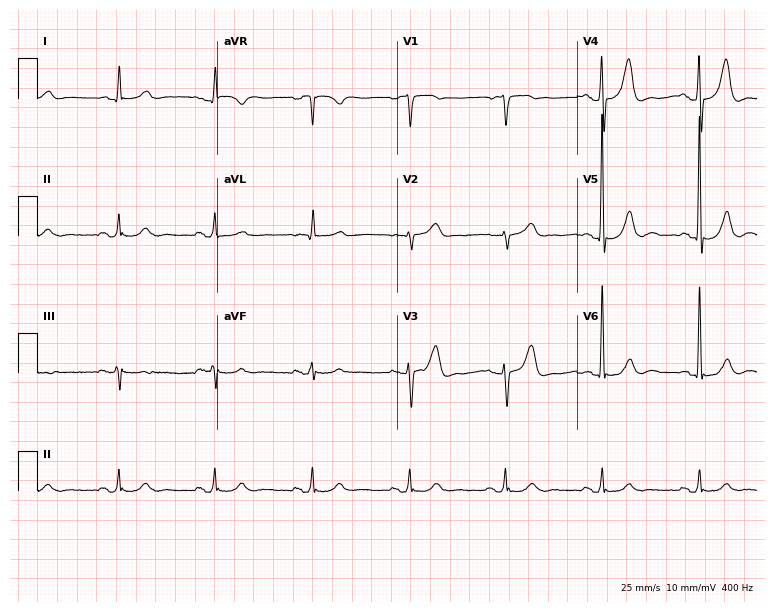
Standard 12-lead ECG recorded from a 69-year-old male (7.3-second recording at 400 Hz). Read as a normal ECG.